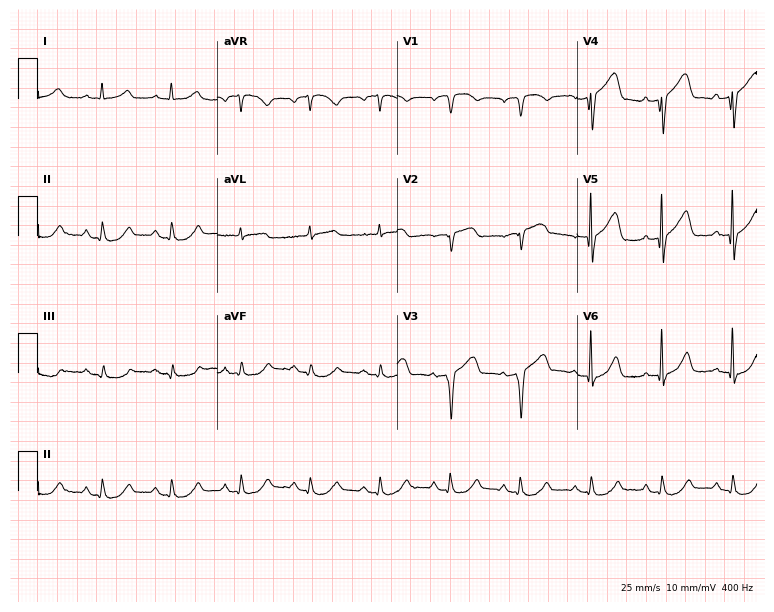
12-lead ECG from a 79-year-old male. No first-degree AV block, right bundle branch block, left bundle branch block, sinus bradycardia, atrial fibrillation or sinus tachycardia recorded for this tracing.